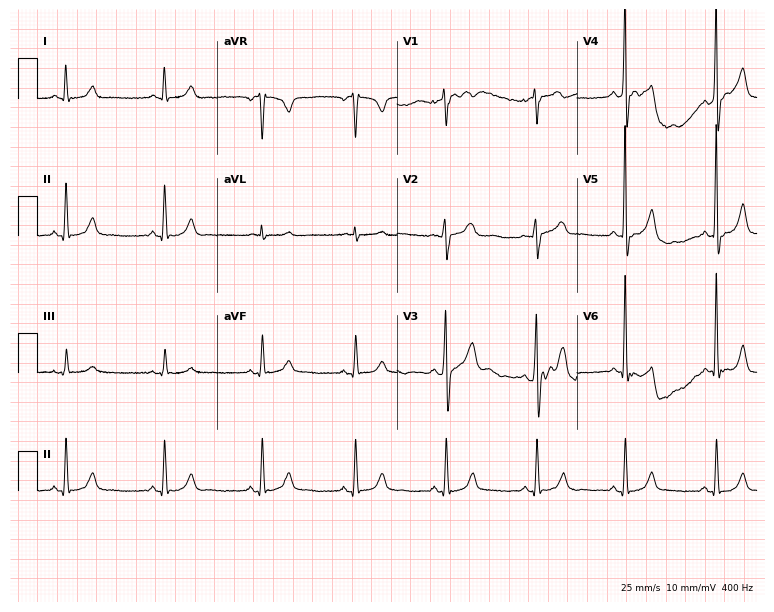
ECG — a man, 49 years old. Labelled as a normal ECG.